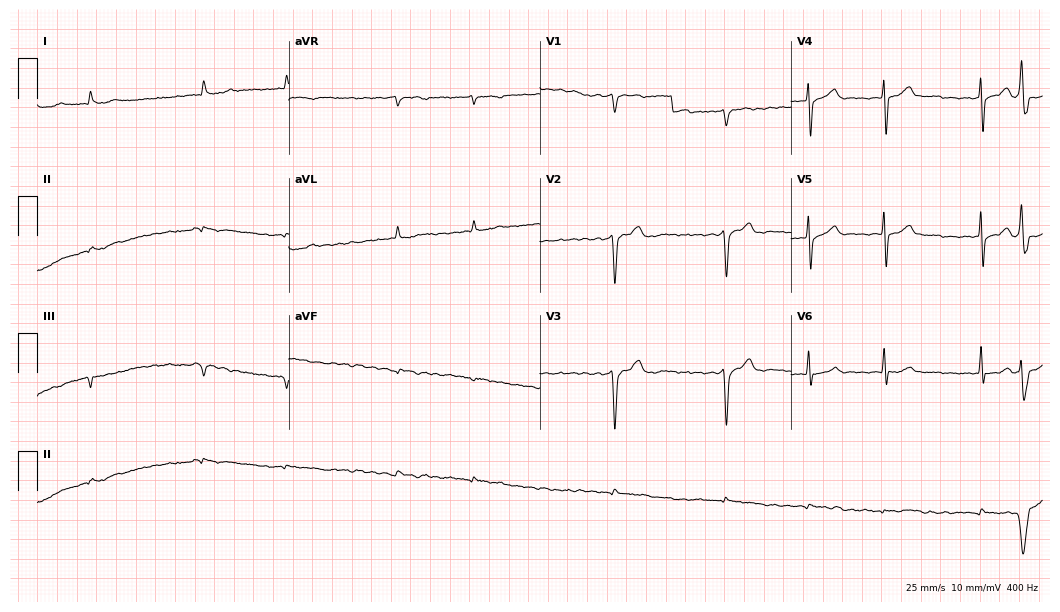
Standard 12-lead ECG recorded from a 67-year-old male patient (10.2-second recording at 400 Hz). The tracing shows atrial fibrillation (AF).